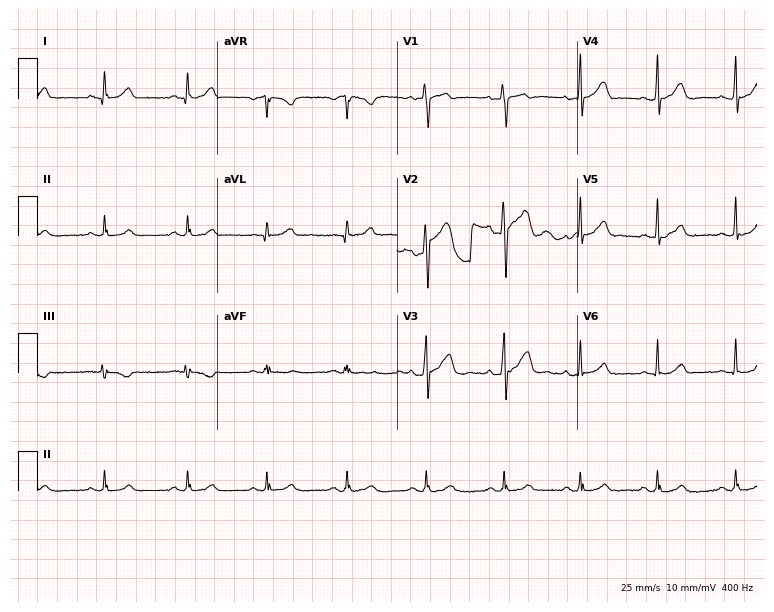
Resting 12-lead electrocardiogram. Patient: a male, 20 years old. Read as a normal ECG.